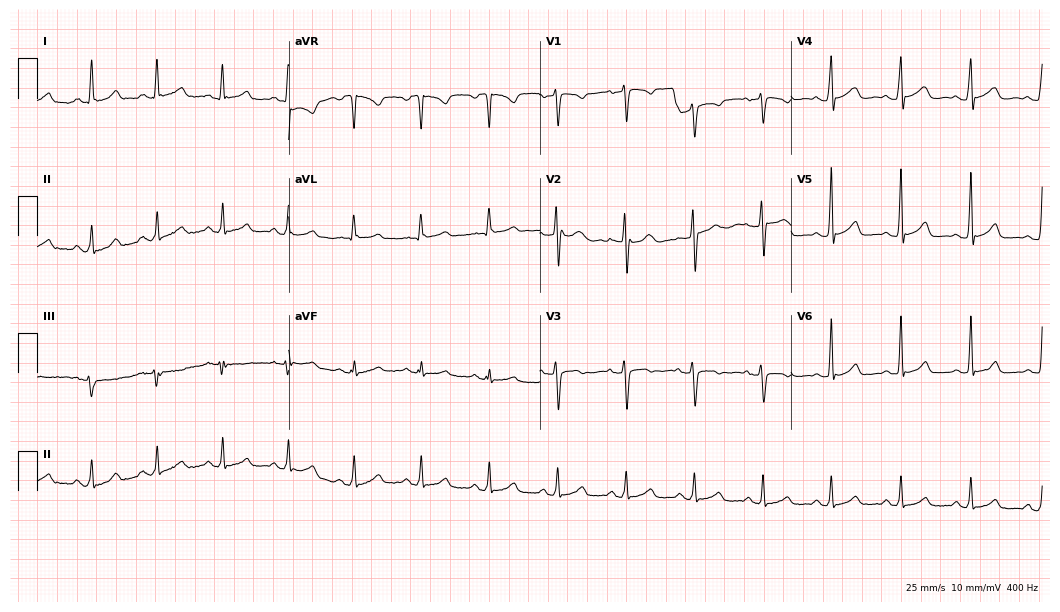
12-lead ECG from a female patient, 27 years old. No first-degree AV block, right bundle branch block, left bundle branch block, sinus bradycardia, atrial fibrillation or sinus tachycardia recorded for this tracing. Only these six findings were labelled.